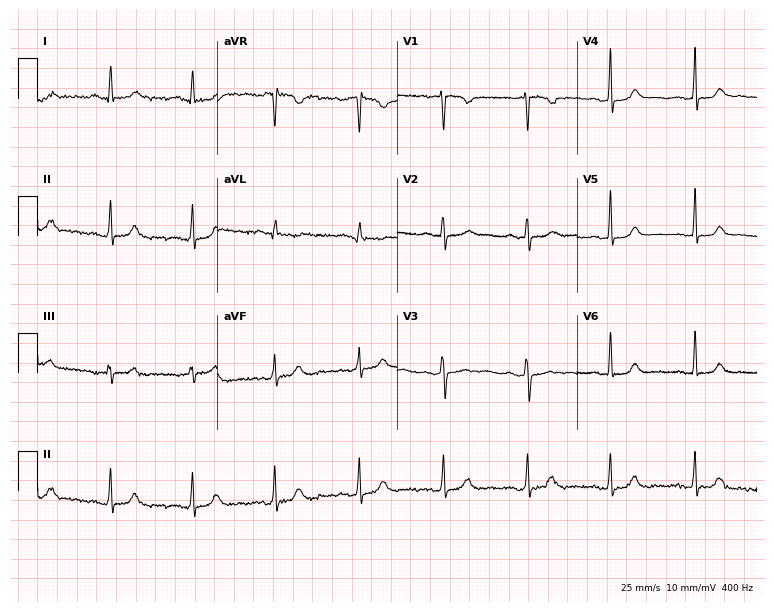
12-lead ECG from a female patient, 35 years old. Recorded interpretation: within normal limits.